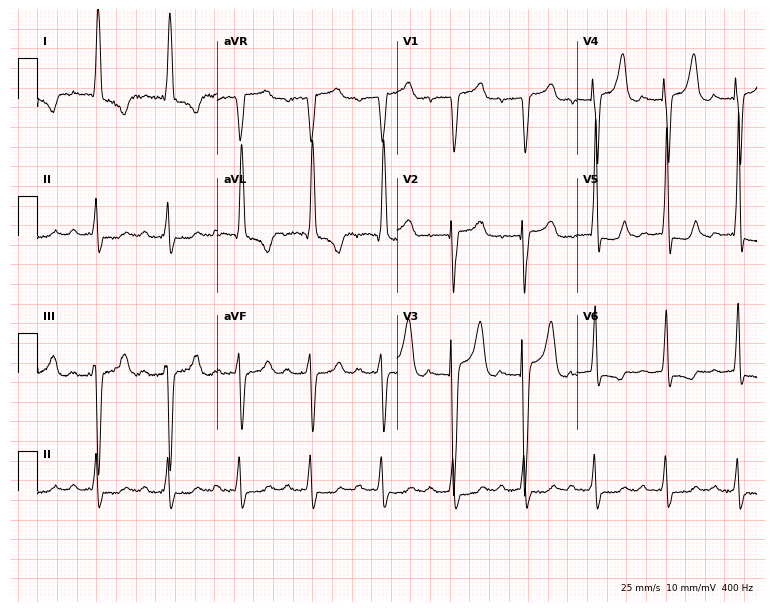
Electrocardiogram, a woman, 87 years old. Interpretation includes first-degree AV block.